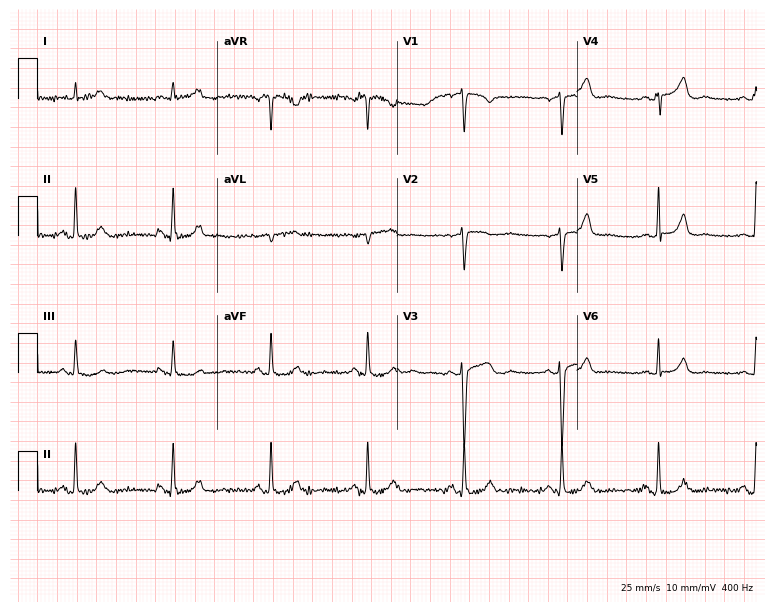
Resting 12-lead electrocardiogram. Patient: a female, 41 years old. Read as a normal ECG.